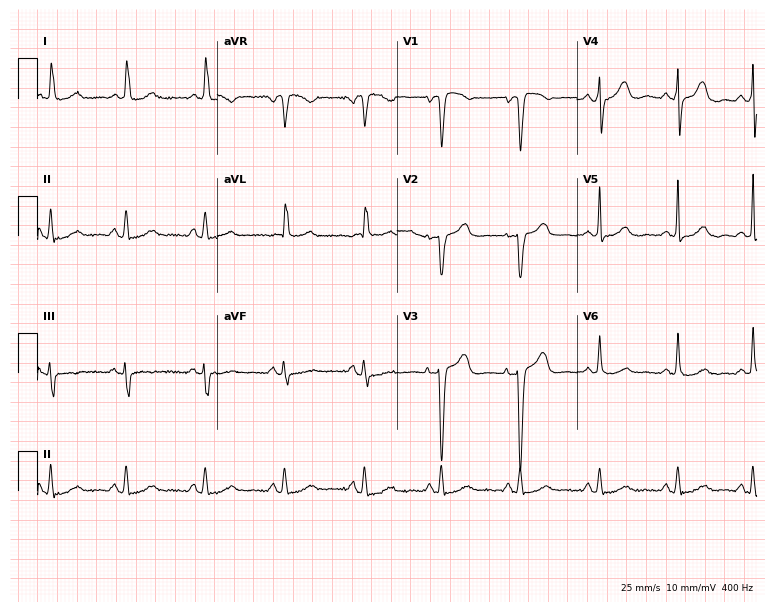
Electrocardiogram (7.3-second recording at 400 Hz), a woman, 75 years old. Of the six screened findings (first-degree AV block, right bundle branch block, left bundle branch block, sinus bradycardia, atrial fibrillation, sinus tachycardia), none is recorded. Findings outside these six are not listed.